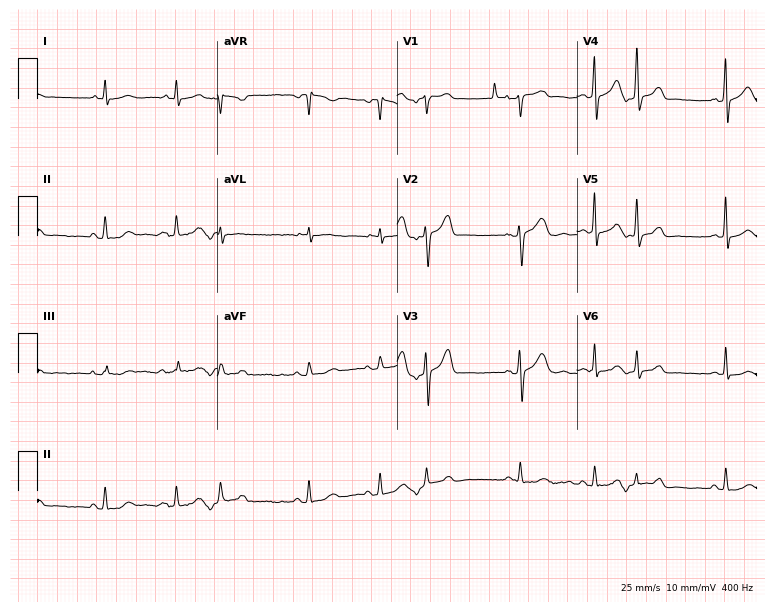
ECG (7.3-second recording at 400 Hz) — an 81-year-old man. Screened for six findings — first-degree AV block, right bundle branch block (RBBB), left bundle branch block (LBBB), sinus bradycardia, atrial fibrillation (AF), sinus tachycardia — none is recorded. Findings outside these six are not listed.